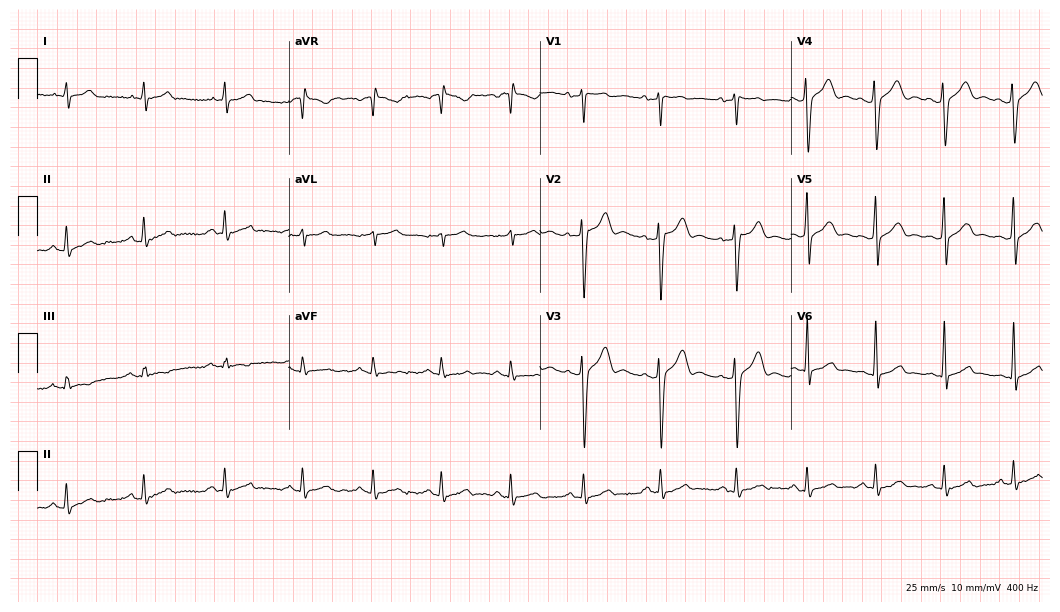
Electrocardiogram, a man, 24 years old. Overall reading on record: normal ECG.